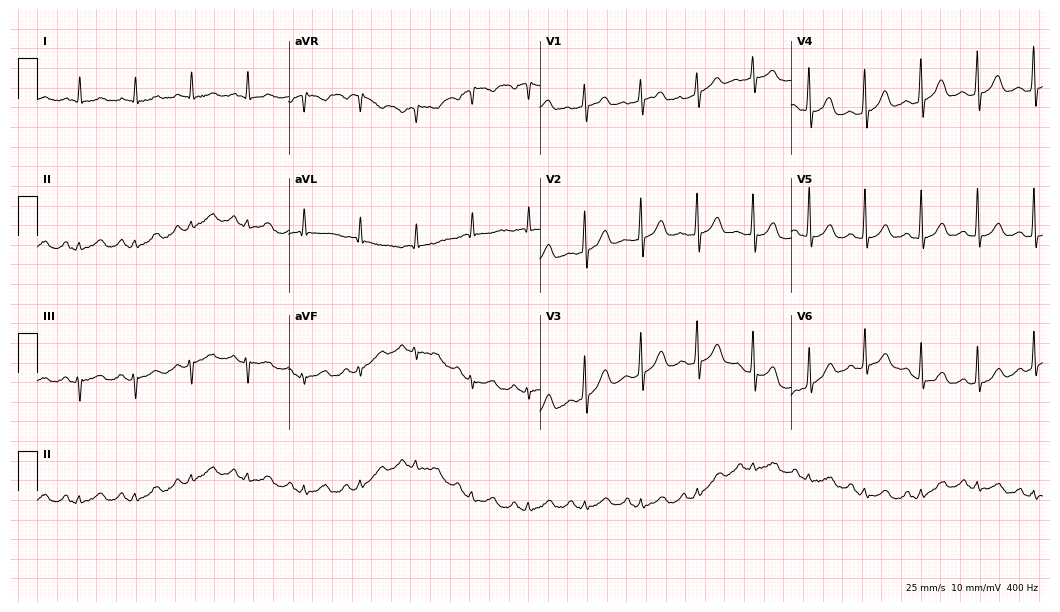
12-lead ECG from a female patient, 62 years old (10.2-second recording at 400 Hz). Recorded interpretation: within normal limits.